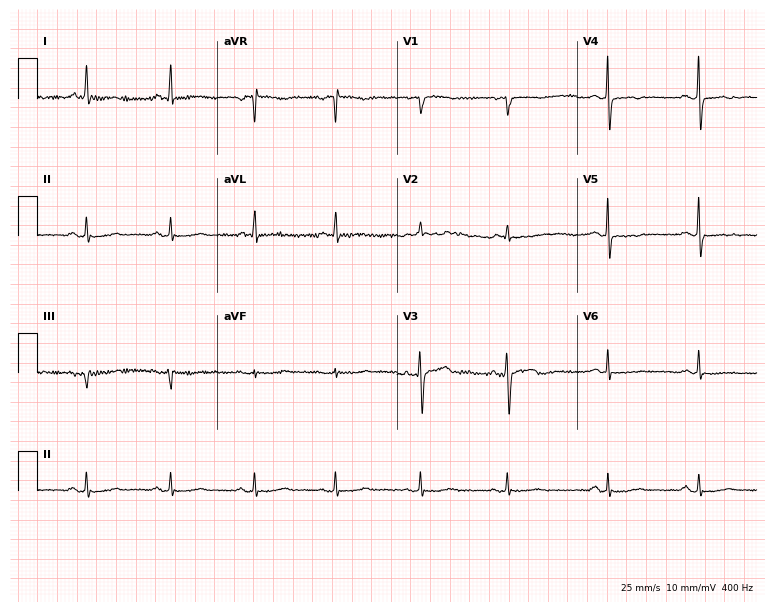
Electrocardiogram (7.3-second recording at 400 Hz), a 61-year-old female patient. Overall reading on record: normal ECG.